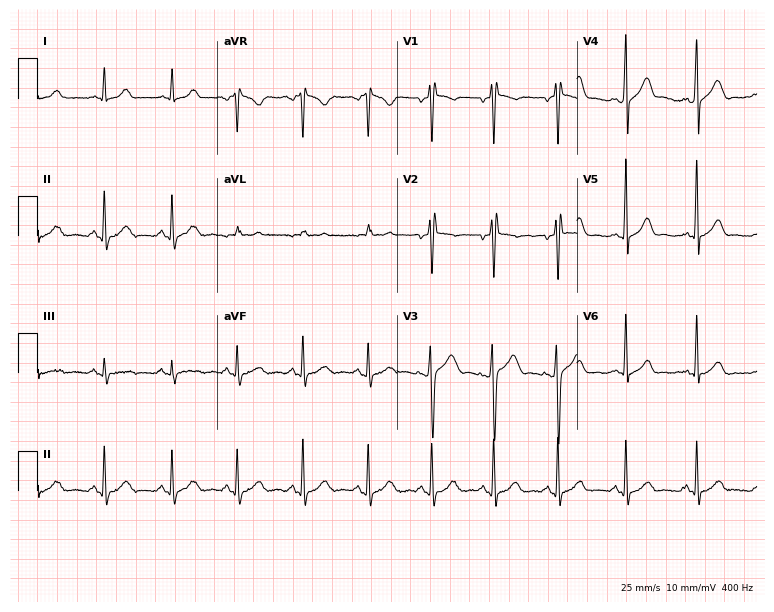
Standard 12-lead ECG recorded from a 41-year-old man. None of these six findings is recorded: first-degree AV block, right bundle branch block, left bundle branch block, sinus bradycardia, atrial fibrillation, sinus tachycardia. Findings outside these six are not listed.